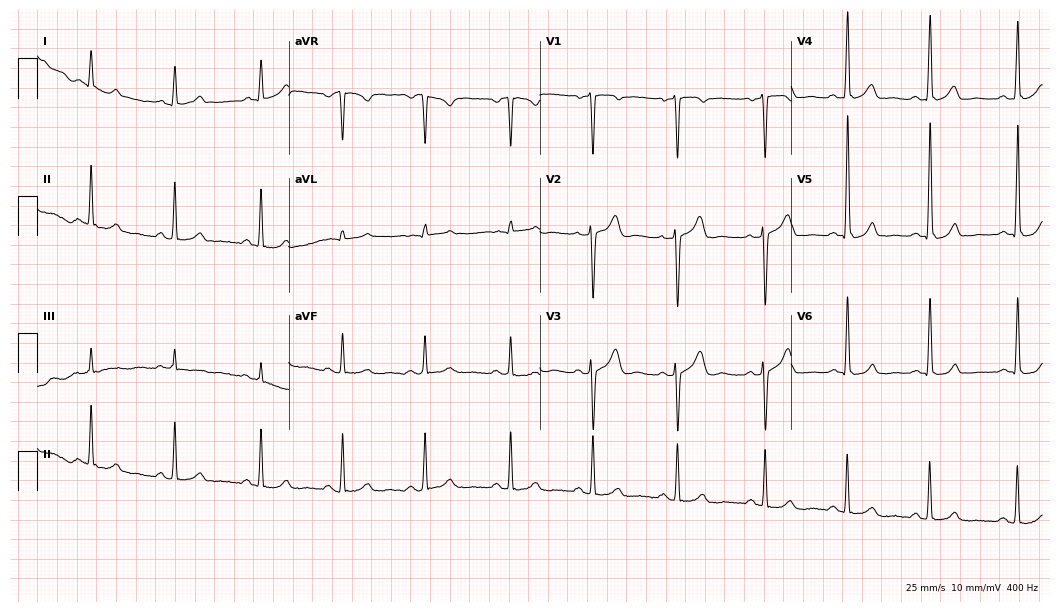
ECG (10.2-second recording at 400 Hz) — a 32-year-old male. Labelled as a normal ECG.